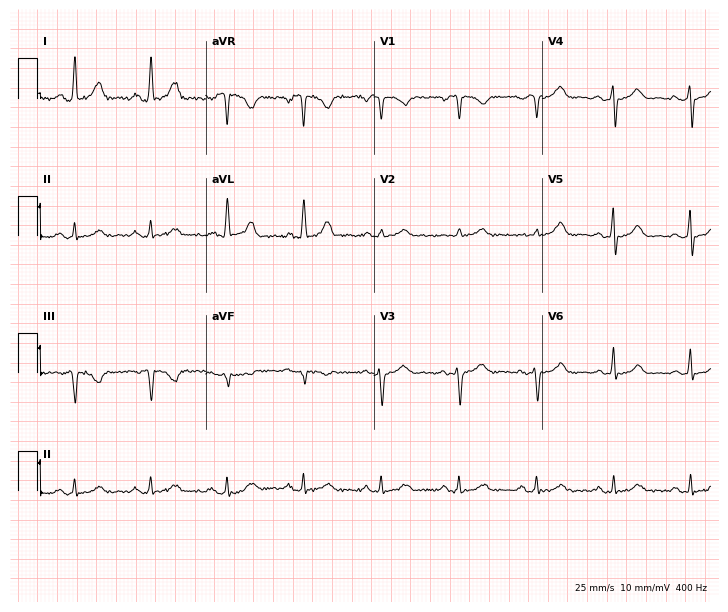
Electrocardiogram, a 53-year-old female patient. Of the six screened findings (first-degree AV block, right bundle branch block (RBBB), left bundle branch block (LBBB), sinus bradycardia, atrial fibrillation (AF), sinus tachycardia), none is recorded.